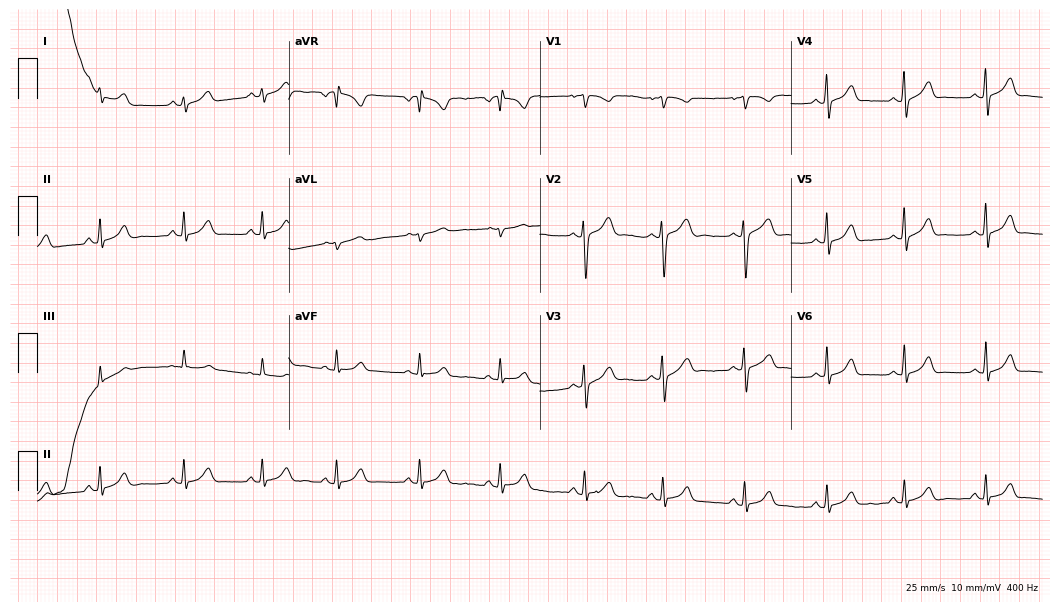
12-lead ECG from a 21-year-old woman (10.2-second recording at 400 Hz). Recorded interpretation: within normal limits.